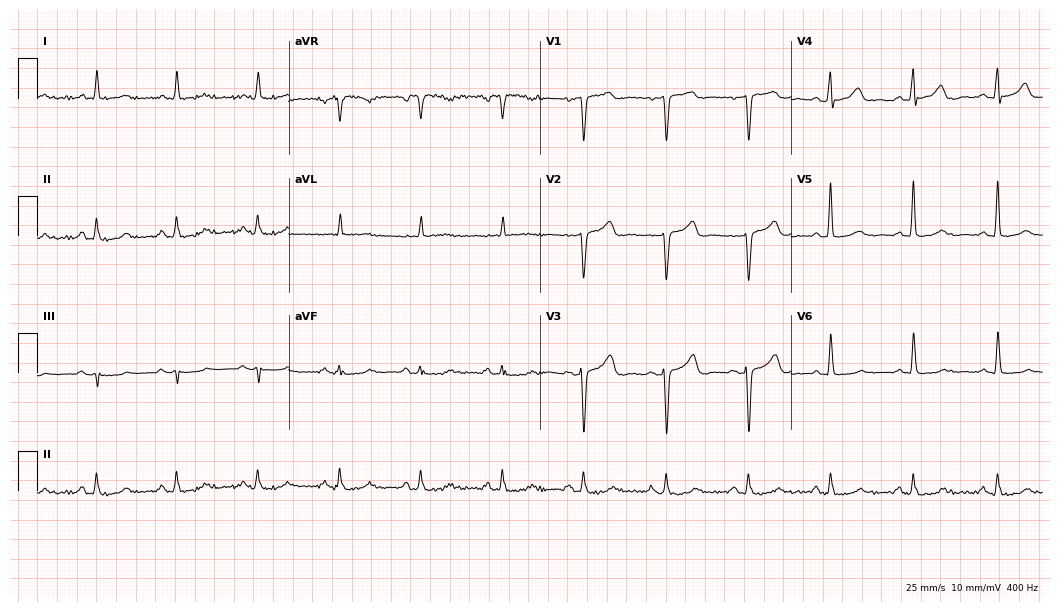
Resting 12-lead electrocardiogram. Patient: a 70-year-old male. Read as a normal ECG.